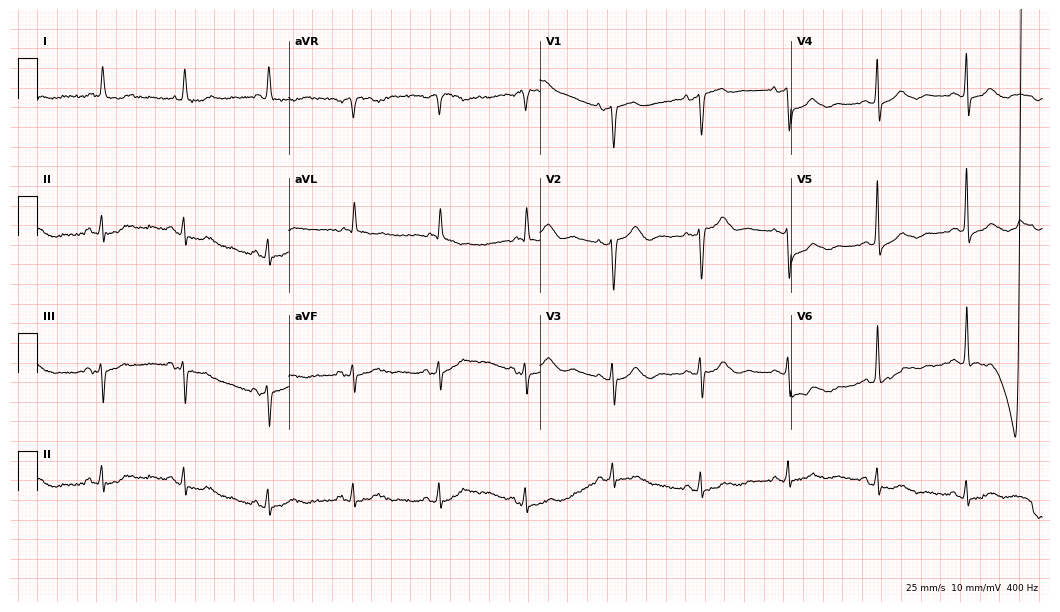
Electrocardiogram, a woman, 83 years old. Of the six screened findings (first-degree AV block, right bundle branch block, left bundle branch block, sinus bradycardia, atrial fibrillation, sinus tachycardia), none is recorded. Findings outside these six are not listed.